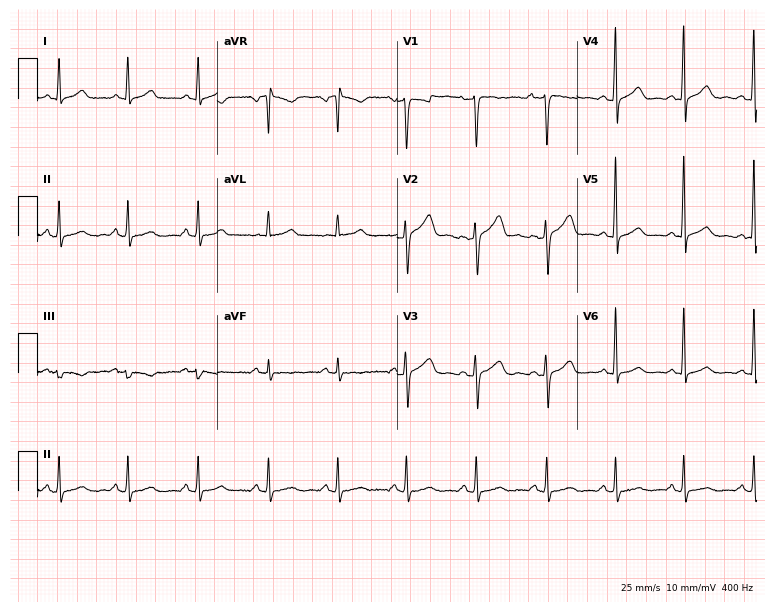
Standard 12-lead ECG recorded from a 40-year-old woman. None of these six findings is recorded: first-degree AV block, right bundle branch block, left bundle branch block, sinus bradycardia, atrial fibrillation, sinus tachycardia.